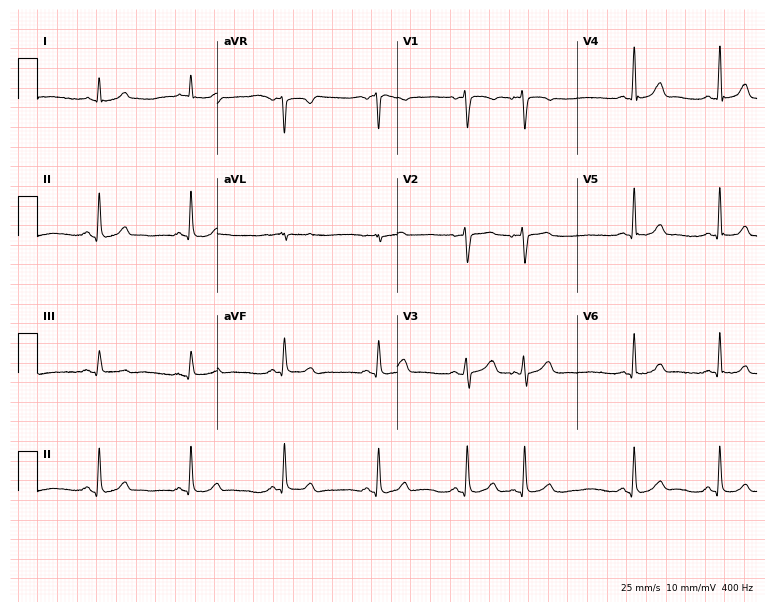
Resting 12-lead electrocardiogram (7.3-second recording at 400 Hz). Patient: a 36-year-old female. Read as a normal ECG.